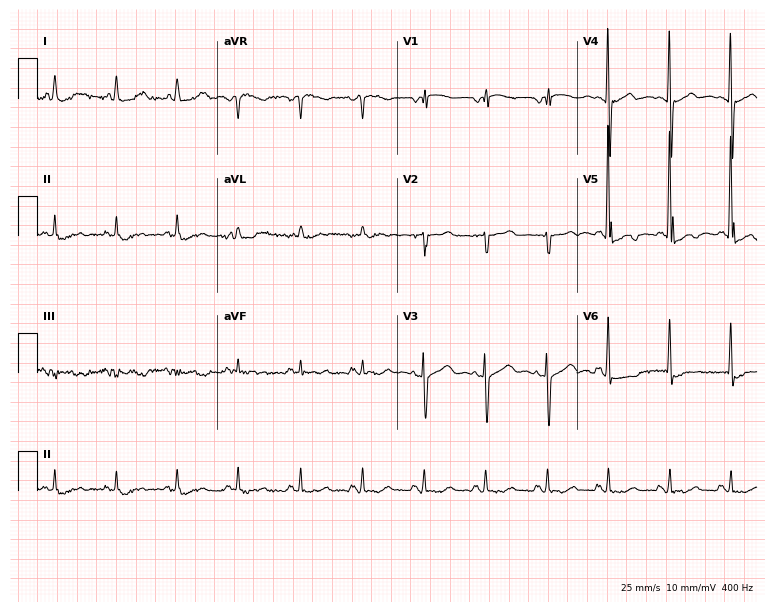
12-lead ECG from a 63-year-old female. No first-degree AV block, right bundle branch block, left bundle branch block, sinus bradycardia, atrial fibrillation or sinus tachycardia recorded for this tracing.